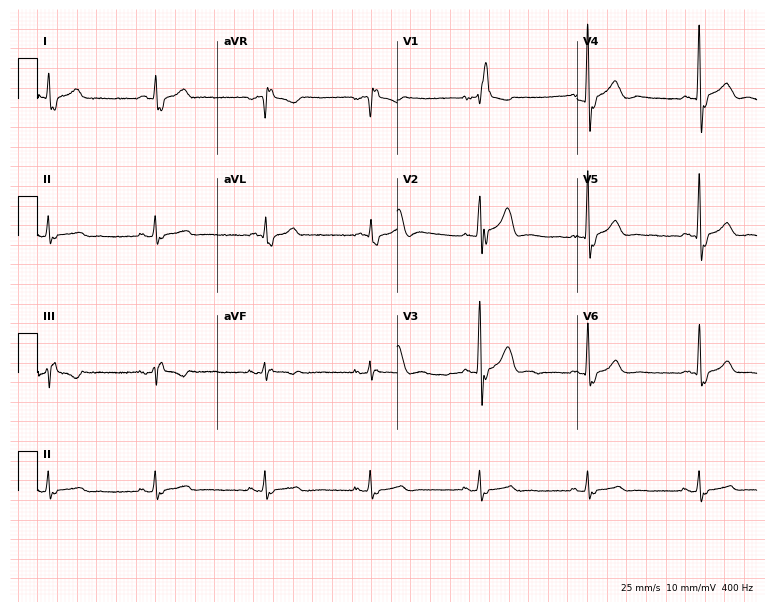
Standard 12-lead ECG recorded from a male patient, 52 years old. The tracing shows right bundle branch block.